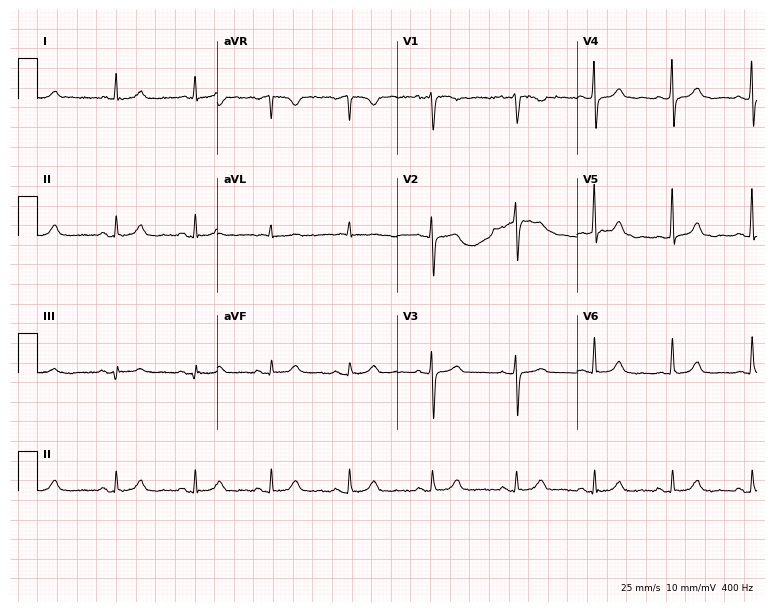
Standard 12-lead ECG recorded from a 64-year-old female patient. None of these six findings is recorded: first-degree AV block, right bundle branch block, left bundle branch block, sinus bradycardia, atrial fibrillation, sinus tachycardia.